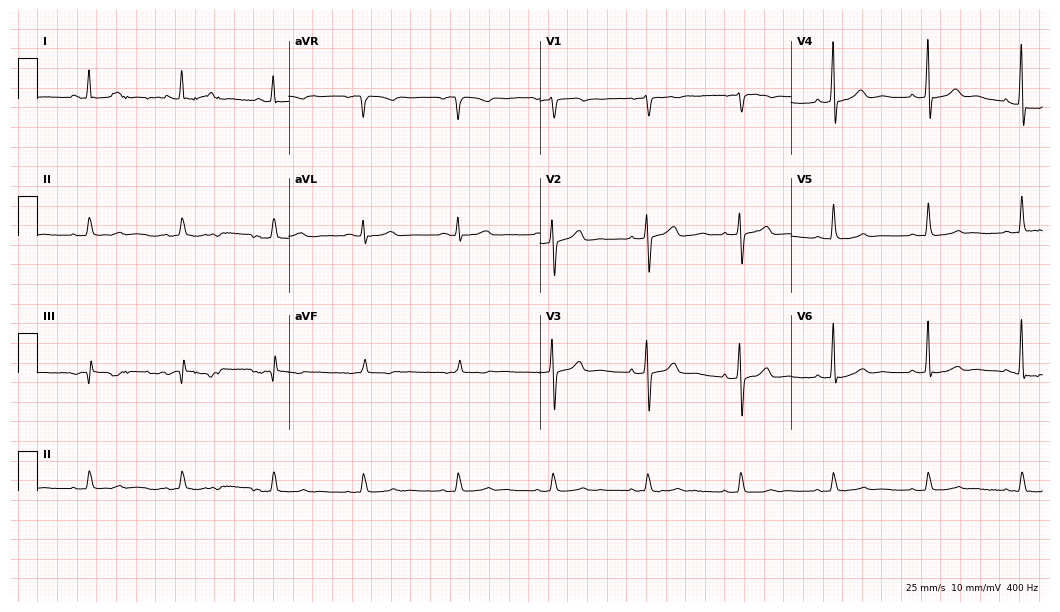
Electrocardiogram, a 61-year-old female patient. Of the six screened findings (first-degree AV block, right bundle branch block, left bundle branch block, sinus bradycardia, atrial fibrillation, sinus tachycardia), none is recorded. Other findings, if any, are not listed.